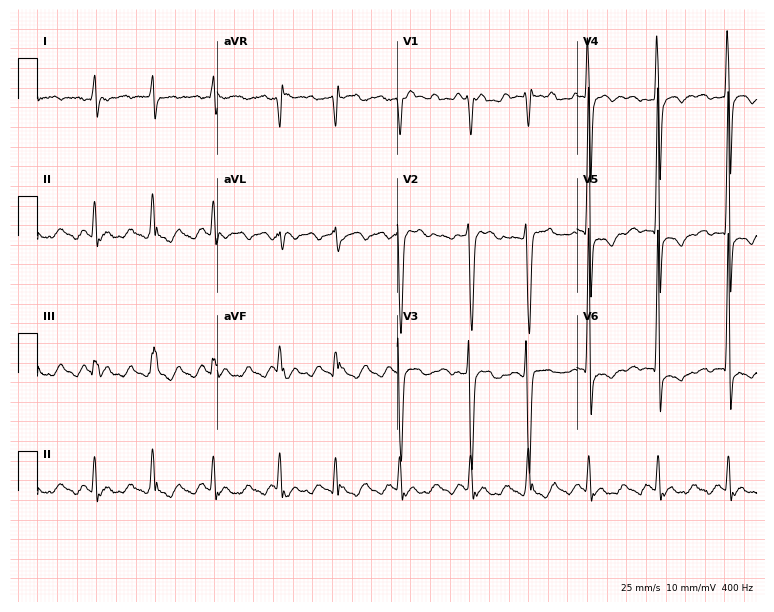
Electrocardiogram, a 54-year-old male patient. Of the six screened findings (first-degree AV block, right bundle branch block (RBBB), left bundle branch block (LBBB), sinus bradycardia, atrial fibrillation (AF), sinus tachycardia), none is recorded. Other findings, if any, are not listed.